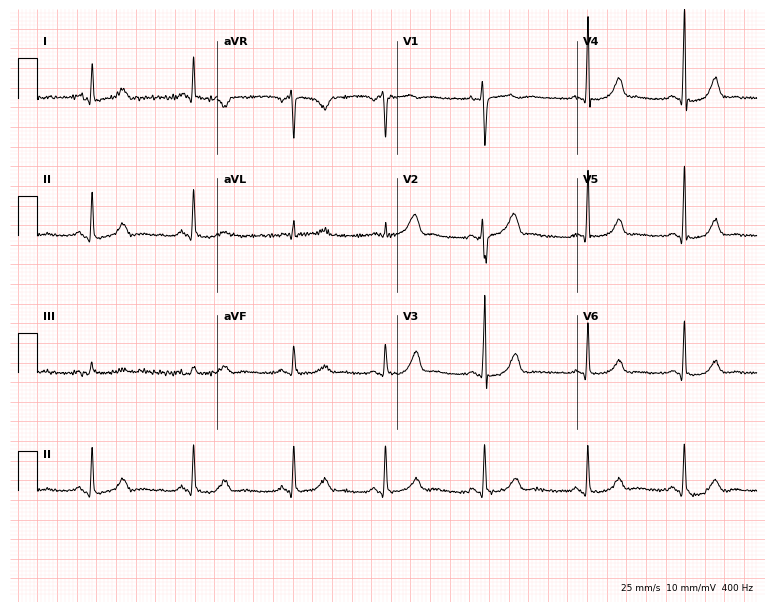
Resting 12-lead electrocardiogram (7.3-second recording at 400 Hz). Patient: a woman, 34 years old. None of these six findings is recorded: first-degree AV block, right bundle branch block, left bundle branch block, sinus bradycardia, atrial fibrillation, sinus tachycardia.